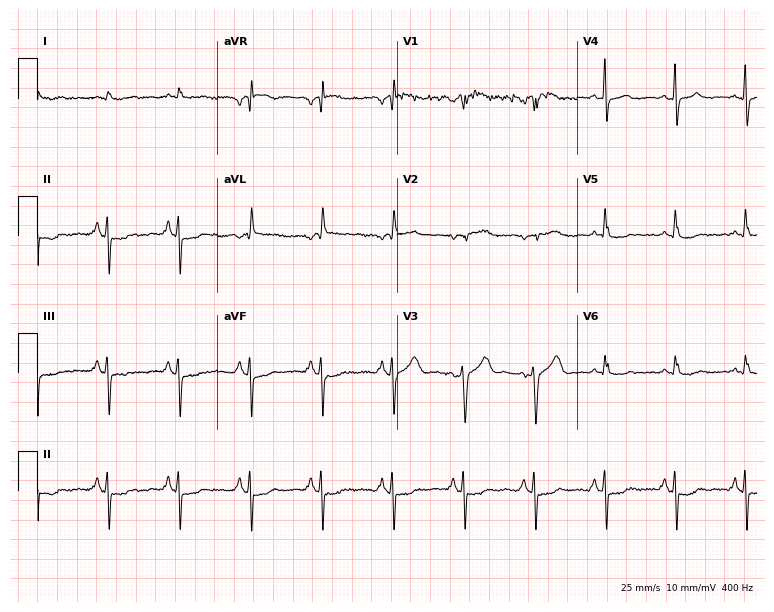
Electrocardiogram (7.3-second recording at 400 Hz), a 79-year-old man. Of the six screened findings (first-degree AV block, right bundle branch block, left bundle branch block, sinus bradycardia, atrial fibrillation, sinus tachycardia), none is recorded. Only these six findings were labelled.